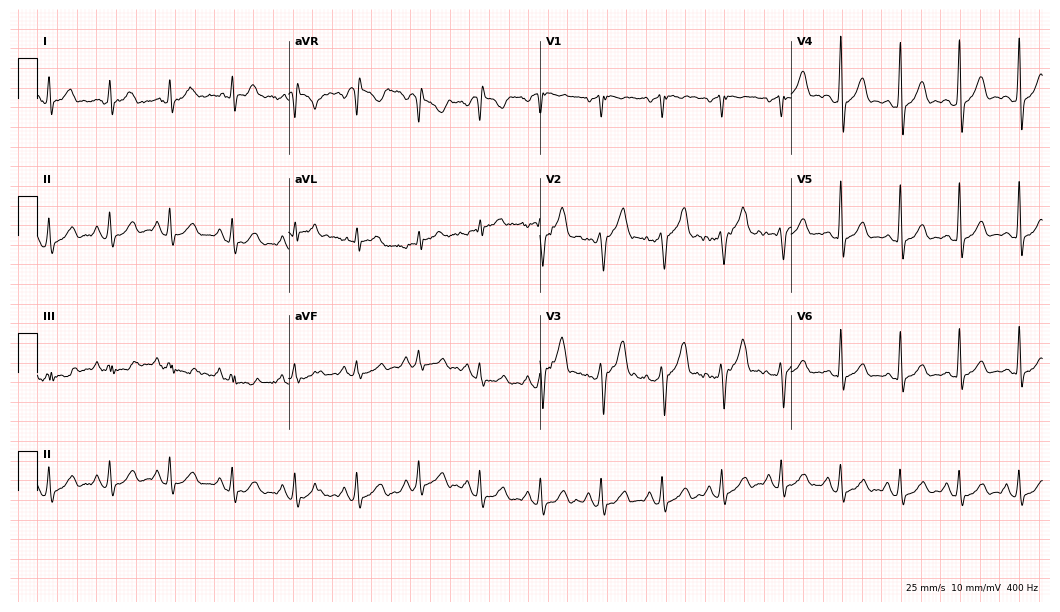
Standard 12-lead ECG recorded from a 44-year-old man. None of these six findings is recorded: first-degree AV block, right bundle branch block (RBBB), left bundle branch block (LBBB), sinus bradycardia, atrial fibrillation (AF), sinus tachycardia. Findings outside these six are not listed.